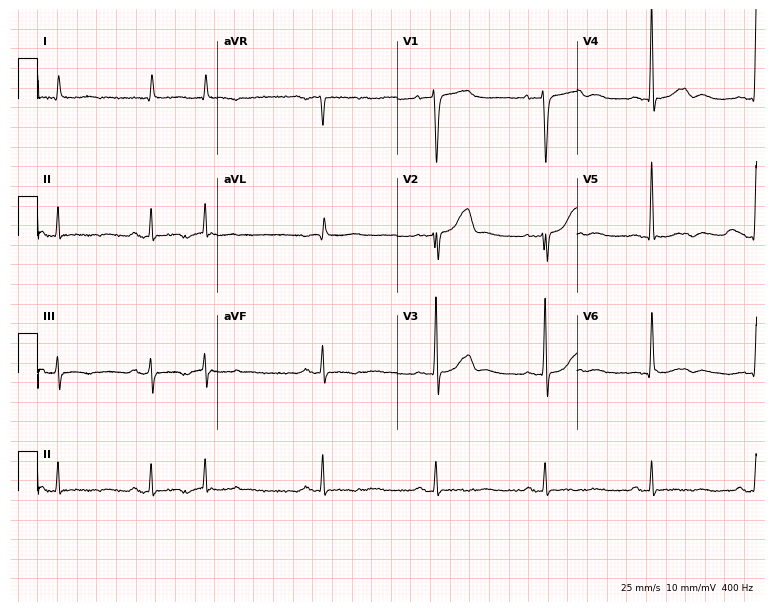
Standard 12-lead ECG recorded from a 68-year-old man. None of these six findings is recorded: first-degree AV block, right bundle branch block (RBBB), left bundle branch block (LBBB), sinus bradycardia, atrial fibrillation (AF), sinus tachycardia. Findings outside these six are not listed.